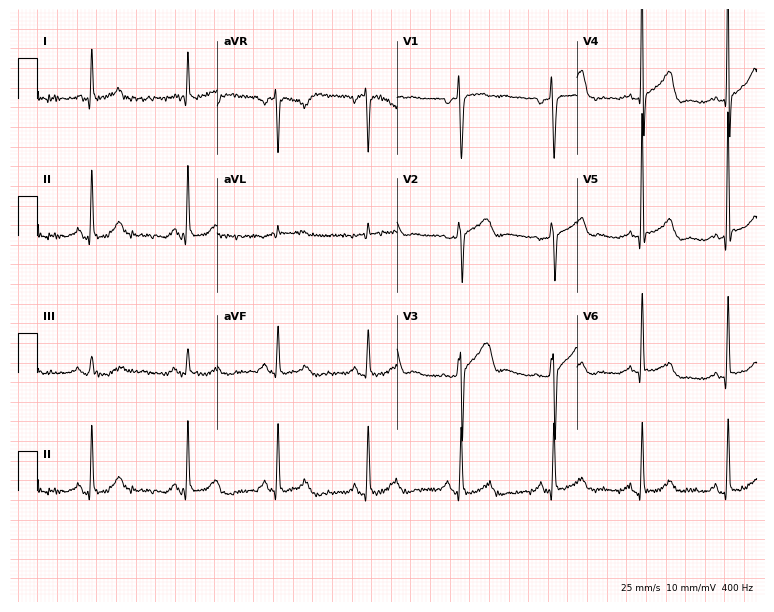
Standard 12-lead ECG recorded from a 54-year-old male patient. Read as a normal ECG.